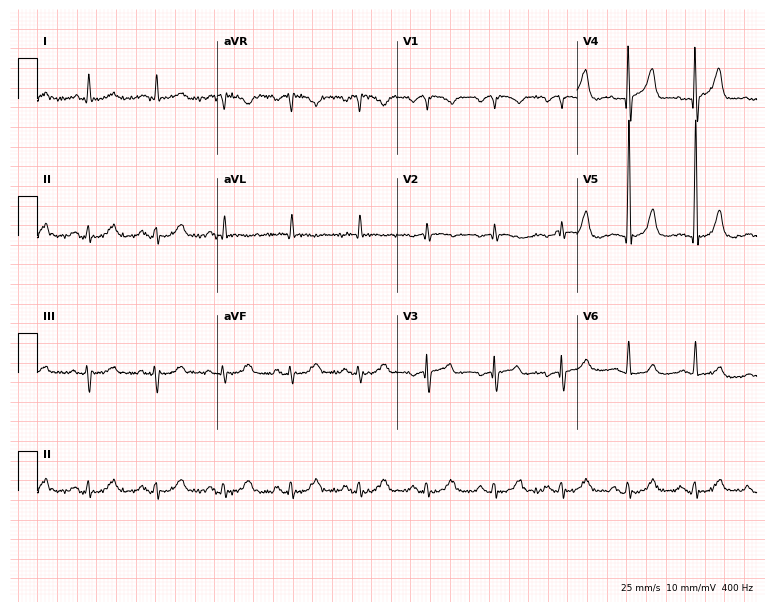
Standard 12-lead ECG recorded from a 70-year-old male patient (7.3-second recording at 400 Hz). Read as a normal ECG.